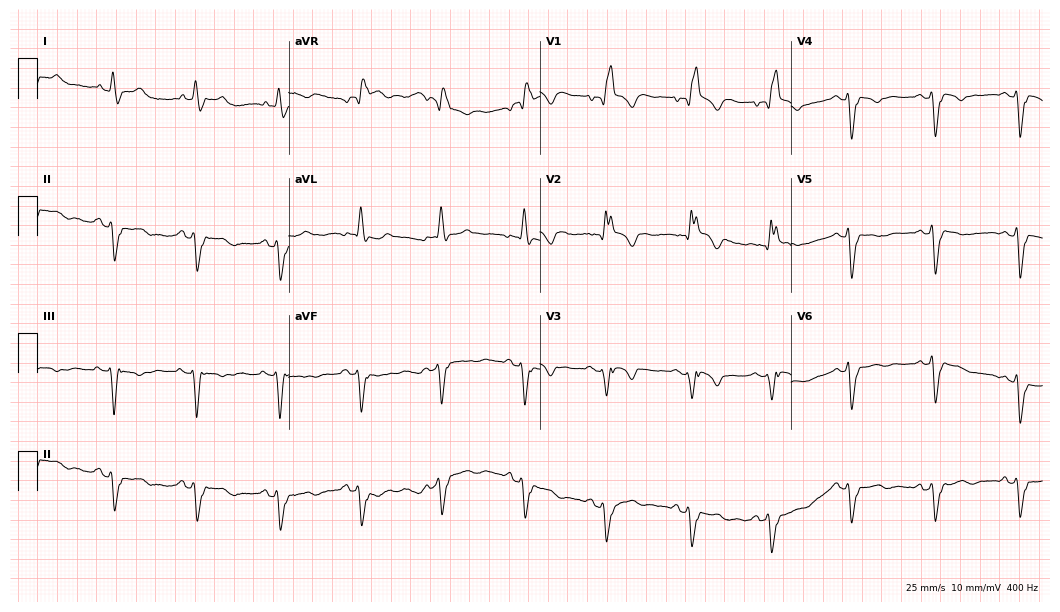
ECG (10.2-second recording at 400 Hz) — a male patient, 81 years old. Findings include right bundle branch block (RBBB).